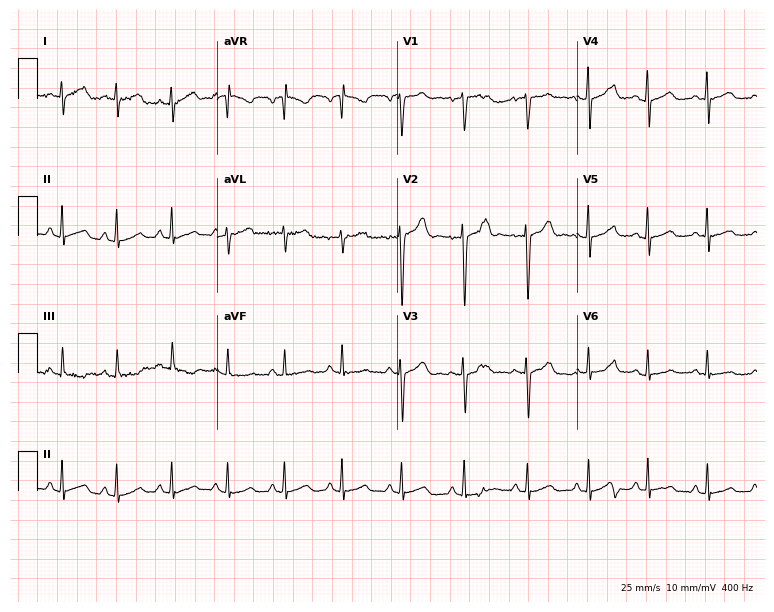
12-lead ECG from a female patient, 35 years old (7.3-second recording at 400 Hz). No first-degree AV block, right bundle branch block (RBBB), left bundle branch block (LBBB), sinus bradycardia, atrial fibrillation (AF) or sinus tachycardia recorded for this tracing. Only these six findings were labelled.